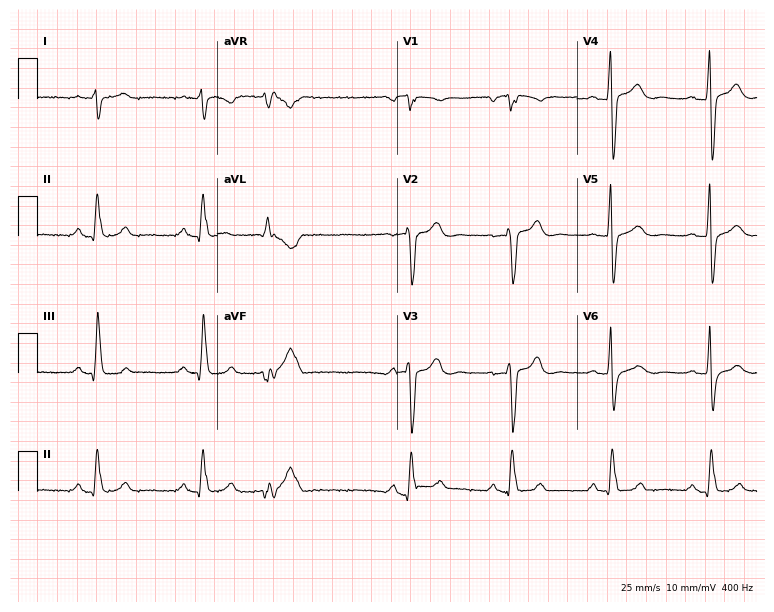
12-lead ECG from a 58-year-old male (7.3-second recording at 400 Hz). No first-degree AV block, right bundle branch block (RBBB), left bundle branch block (LBBB), sinus bradycardia, atrial fibrillation (AF) or sinus tachycardia recorded for this tracing. Findings outside these six are not listed.